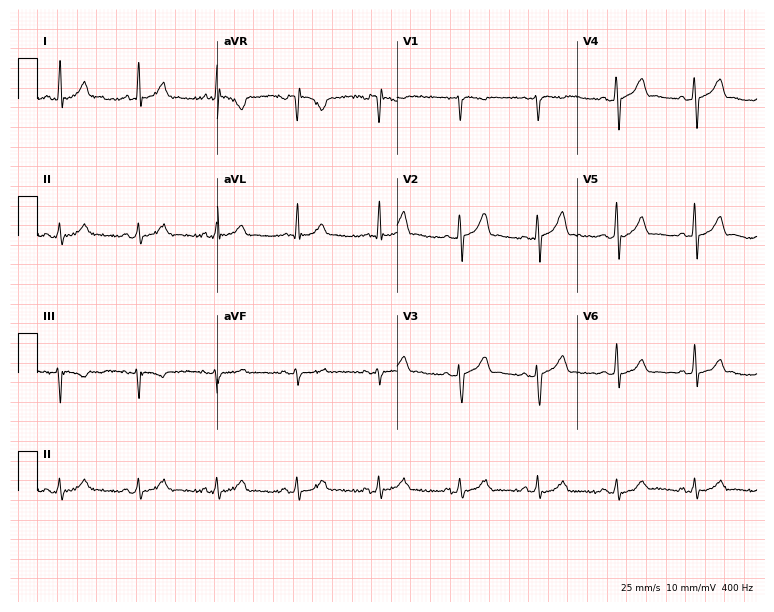
Electrocardiogram (7.3-second recording at 400 Hz), a 32-year-old male. Overall reading on record: normal ECG.